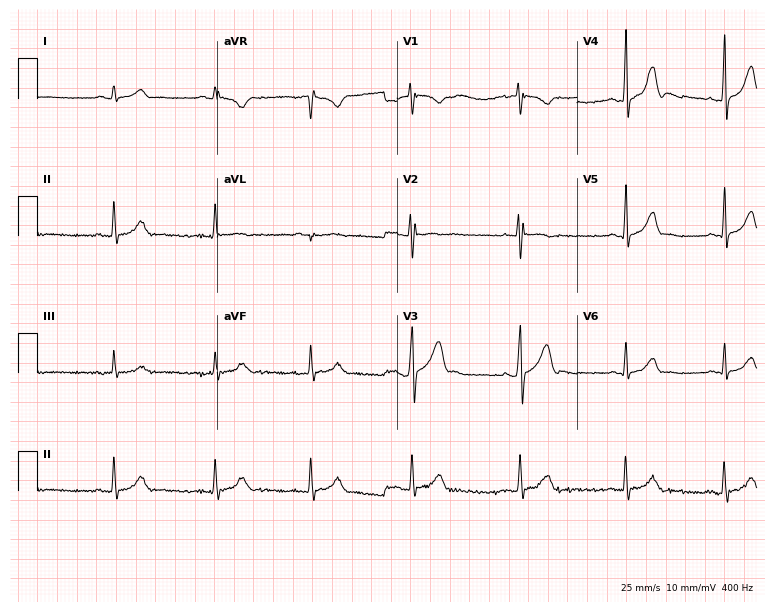
Standard 12-lead ECG recorded from a male patient, 24 years old (7.3-second recording at 400 Hz). Read as a normal ECG.